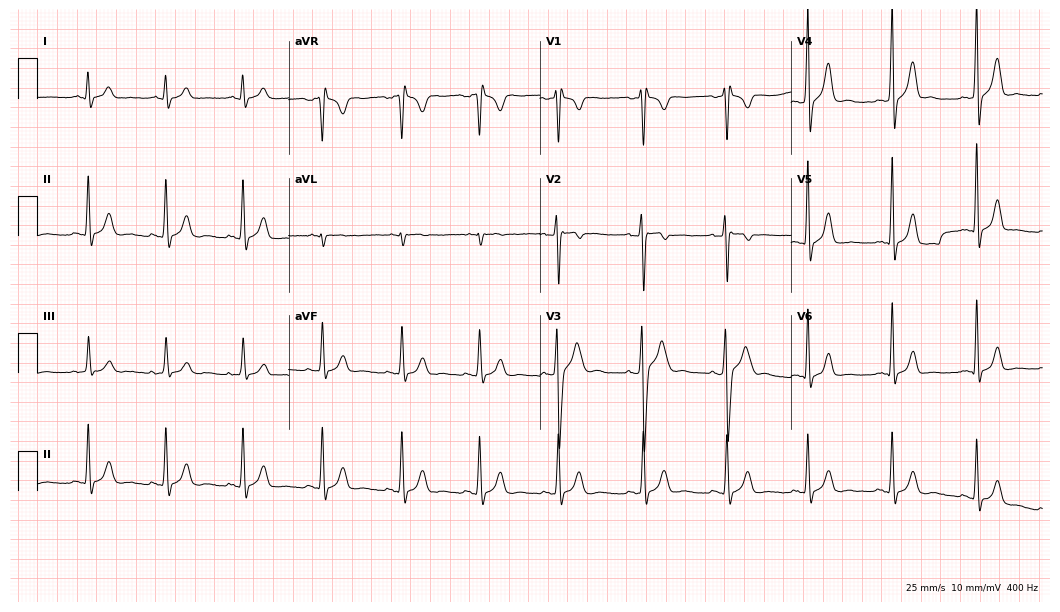
12-lead ECG from a 23-year-old man (10.2-second recording at 400 Hz). No first-degree AV block, right bundle branch block, left bundle branch block, sinus bradycardia, atrial fibrillation or sinus tachycardia recorded for this tracing. Only these six findings were labelled.